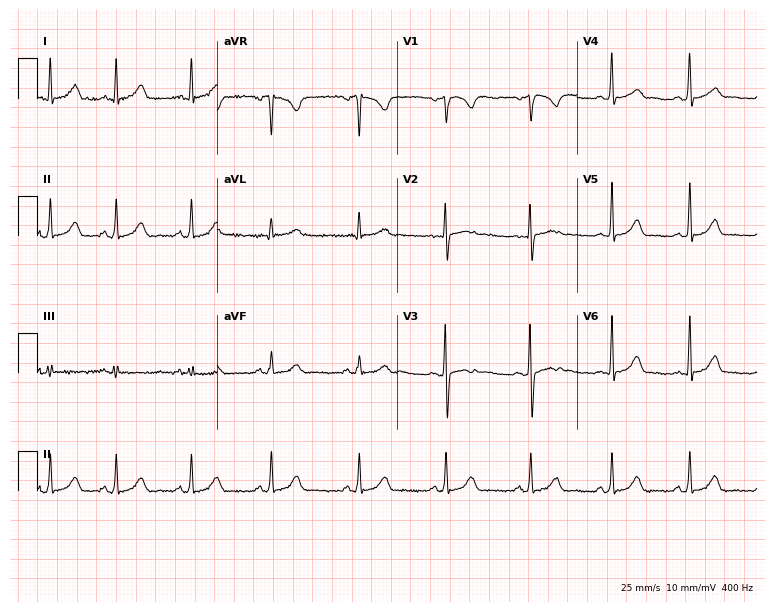
Electrocardiogram, a woman, 28 years old. Overall reading on record: normal ECG.